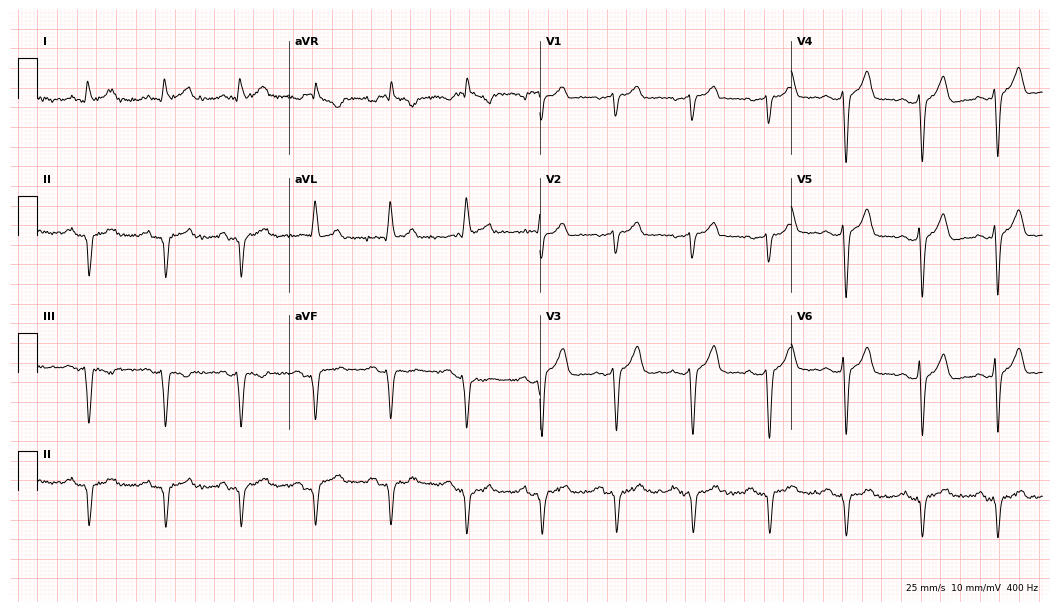
Electrocardiogram (10.2-second recording at 400 Hz), a male, 61 years old. Of the six screened findings (first-degree AV block, right bundle branch block (RBBB), left bundle branch block (LBBB), sinus bradycardia, atrial fibrillation (AF), sinus tachycardia), none is recorded.